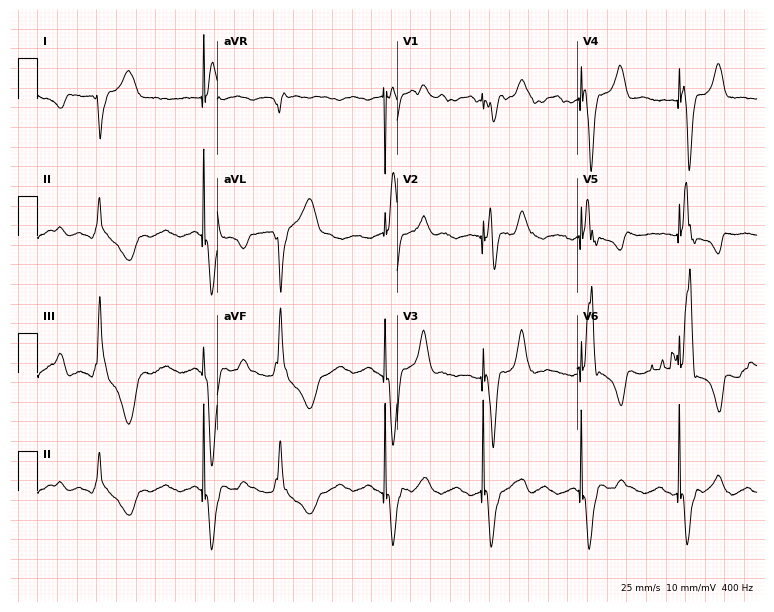
12-lead ECG from a 69-year-old woman. No first-degree AV block, right bundle branch block (RBBB), left bundle branch block (LBBB), sinus bradycardia, atrial fibrillation (AF) or sinus tachycardia recorded for this tracing.